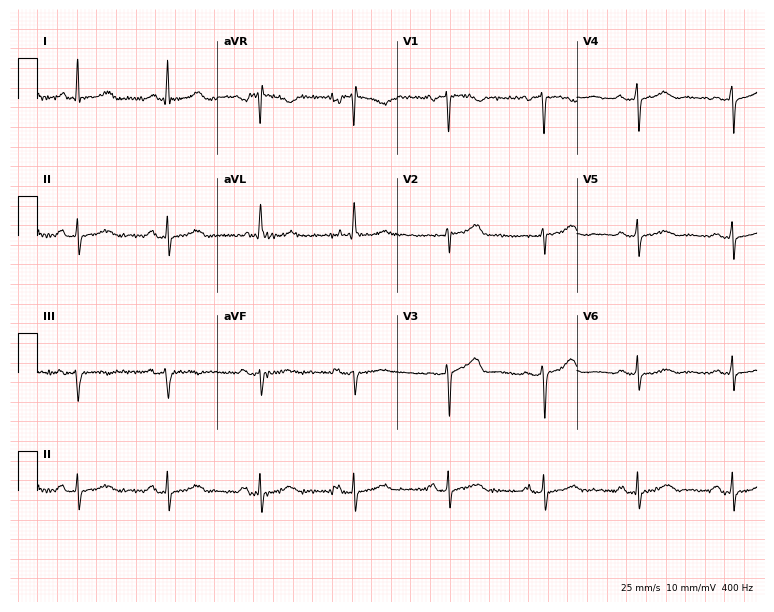
Electrocardiogram (7.3-second recording at 400 Hz), a woman, 56 years old. Overall reading on record: normal ECG.